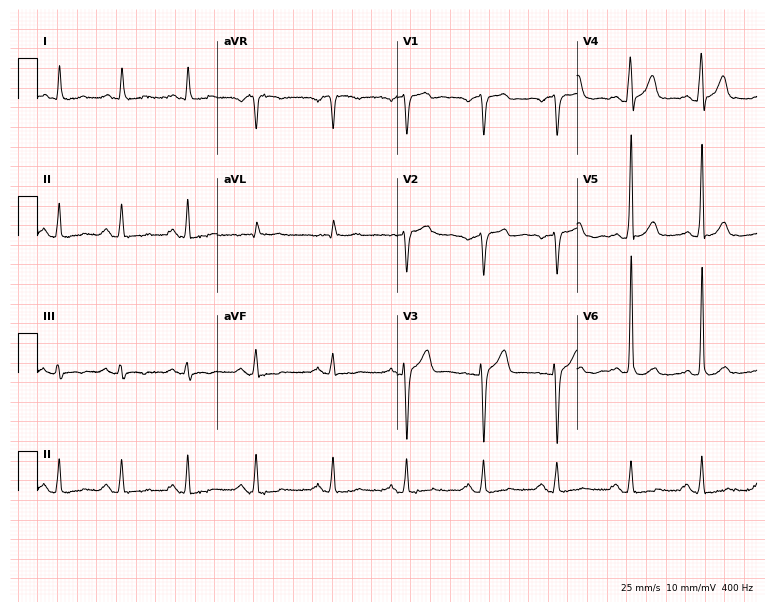
12-lead ECG (7.3-second recording at 400 Hz) from a 48-year-old man. Labelled as a normal ECG.